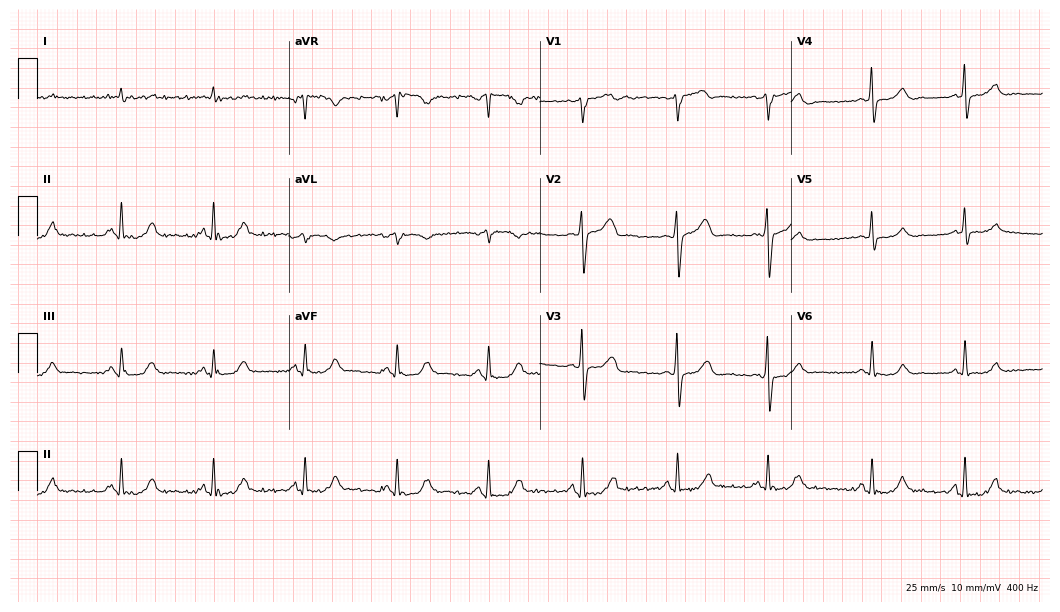
Resting 12-lead electrocardiogram. Patient: a 59-year-old man. Read as a normal ECG.